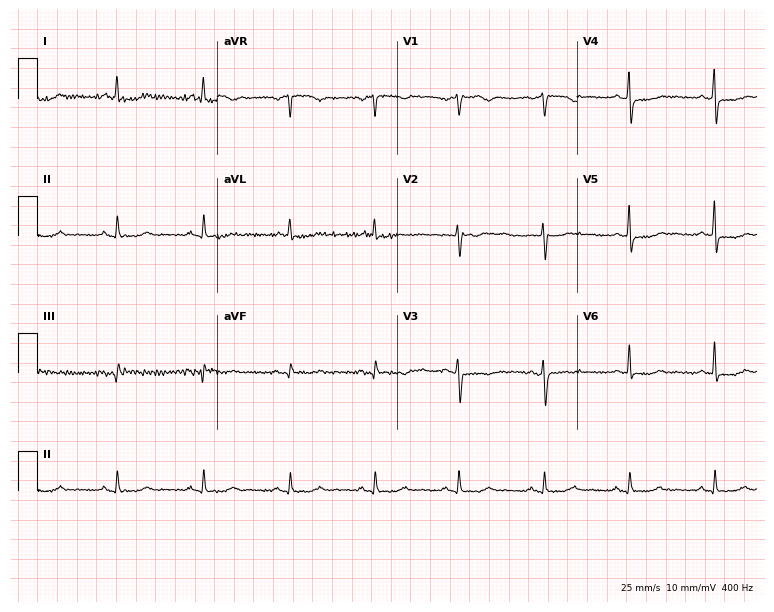
12-lead ECG from a woman, 66 years old (7.3-second recording at 400 Hz). No first-degree AV block, right bundle branch block, left bundle branch block, sinus bradycardia, atrial fibrillation or sinus tachycardia recorded for this tracing.